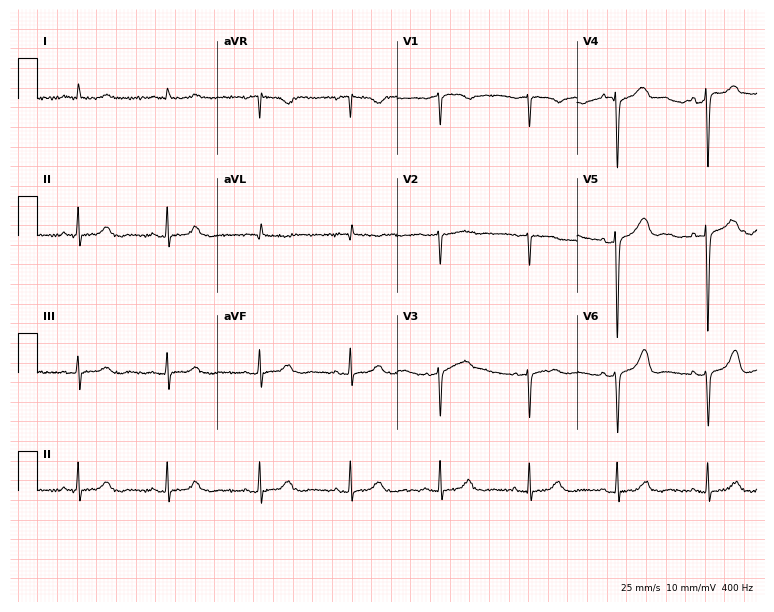
Resting 12-lead electrocardiogram. Patient: a 78-year-old female. None of these six findings is recorded: first-degree AV block, right bundle branch block (RBBB), left bundle branch block (LBBB), sinus bradycardia, atrial fibrillation (AF), sinus tachycardia.